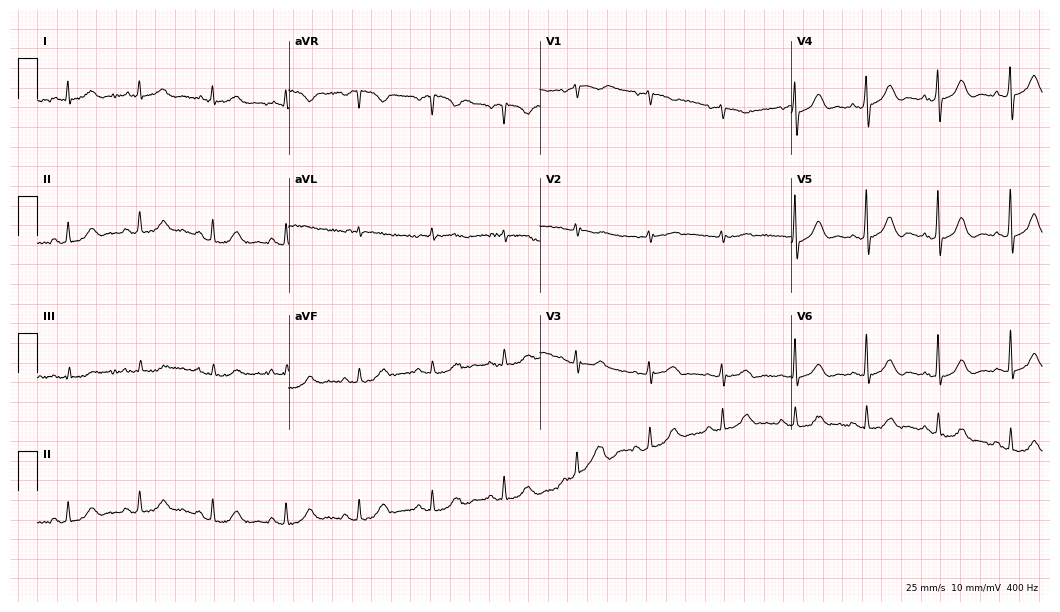
12-lead ECG from a 77-year-old female patient. Recorded interpretation: within normal limits.